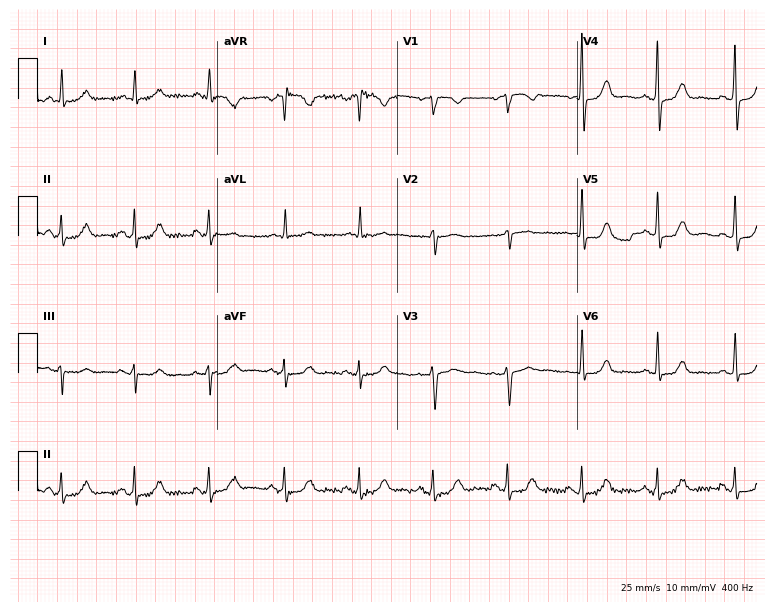
Resting 12-lead electrocardiogram (7.3-second recording at 400 Hz). Patient: a 54-year-old woman. Read as a normal ECG.